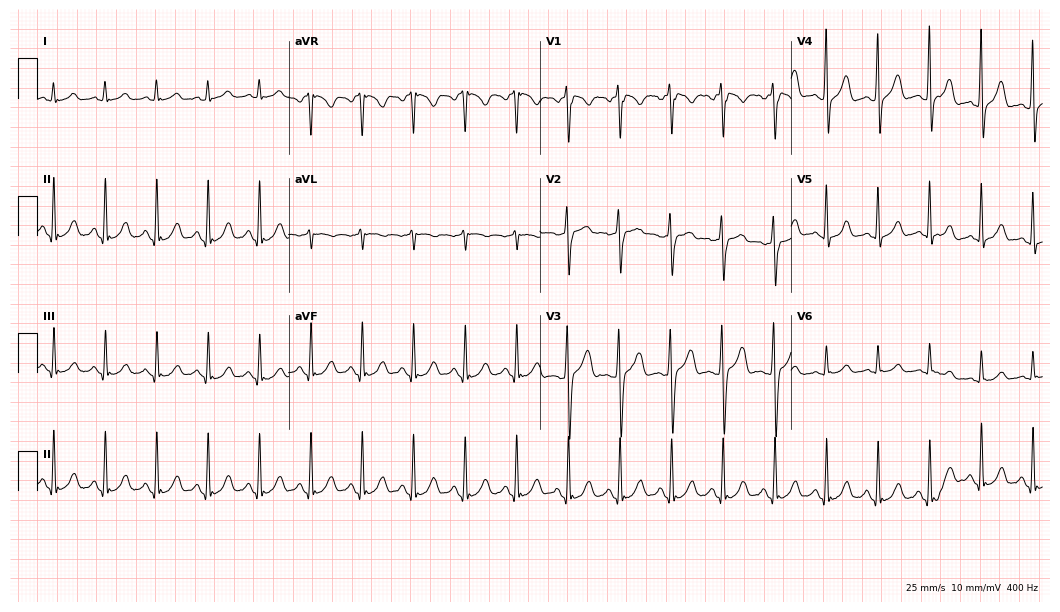
Resting 12-lead electrocardiogram (10.2-second recording at 400 Hz). Patient: a man, 50 years old. None of these six findings is recorded: first-degree AV block, right bundle branch block, left bundle branch block, sinus bradycardia, atrial fibrillation, sinus tachycardia. Only these six findings were labelled.